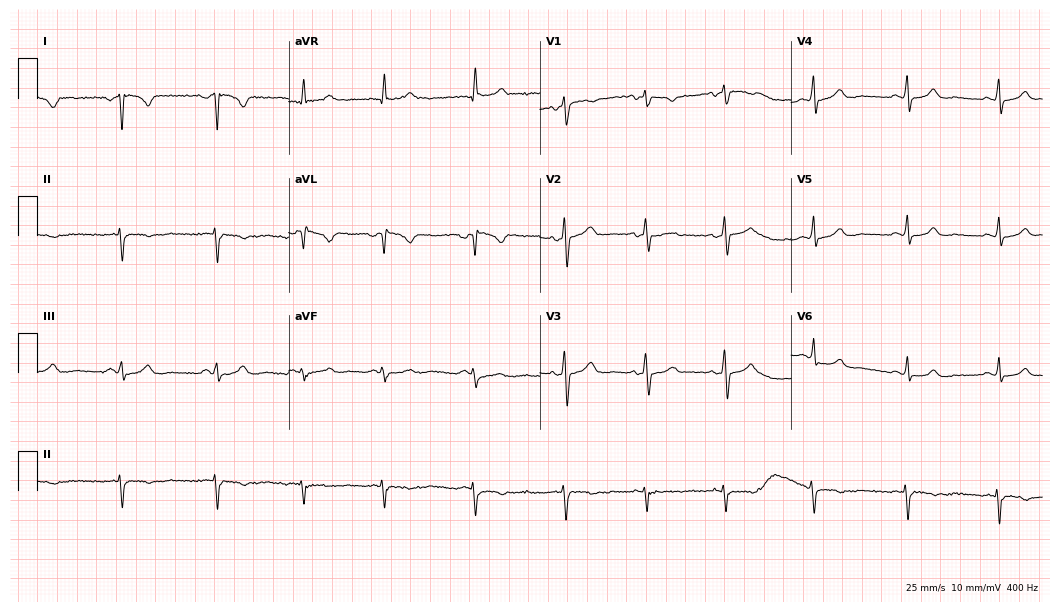
ECG — a 36-year-old female. Screened for six findings — first-degree AV block, right bundle branch block, left bundle branch block, sinus bradycardia, atrial fibrillation, sinus tachycardia — none is recorded.